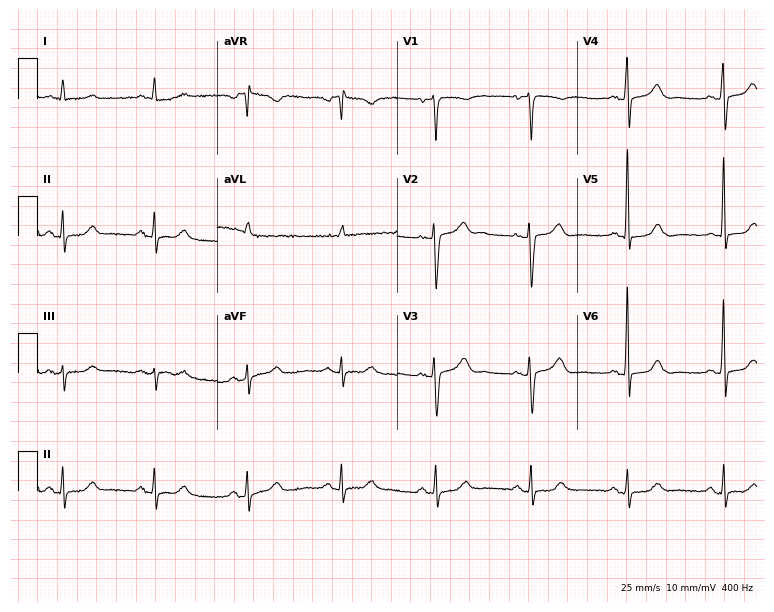
ECG (7.3-second recording at 400 Hz) — a 71-year-old woman. Screened for six findings — first-degree AV block, right bundle branch block (RBBB), left bundle branch block (LBBB), sinus bradycardia, atrial fibrillation (AF), sinus tachycardia — none is recorded. Only these six findings were labelled.